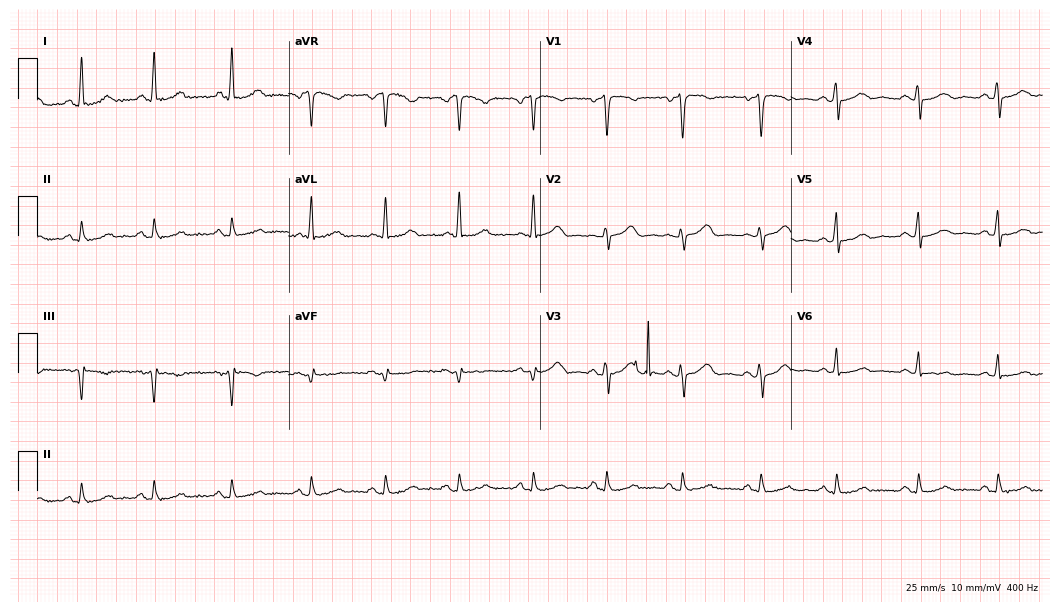
Electrocardiogram (10.2-second recording at 400 Hz), a male patient, 45 years old. Of the six screened findings (first-degree AV block, right bundle branch block (RBBB), left bundle branch block (LBBB), sinus bradycardia, atrial fibrillation (AF), sinus tachycardia), none is recorded. Only these six findings were labelled.